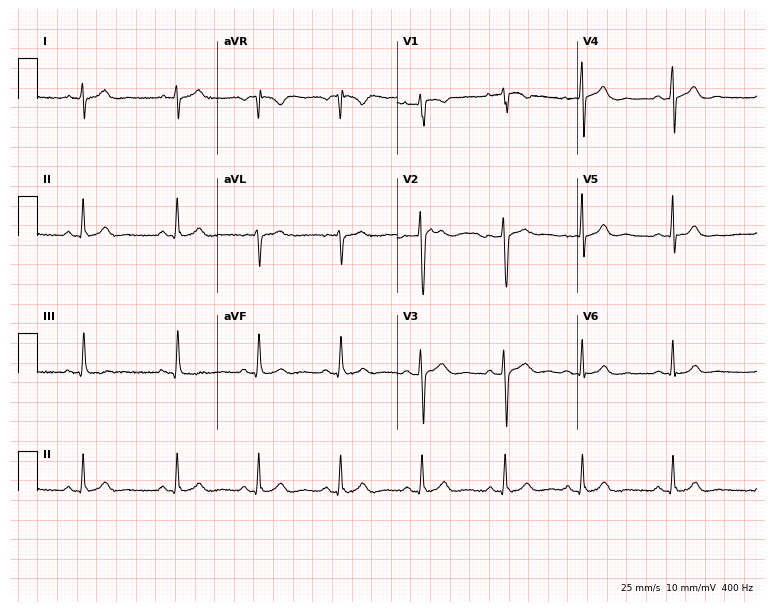
12-lead ECG from a woman, 33 years old. Screened for six findings — first-degree AV block, right bundle branch block, left bundle branch block, sinus bradycardia, atrial fibrillation, sinus tachycardia — none is recorded.